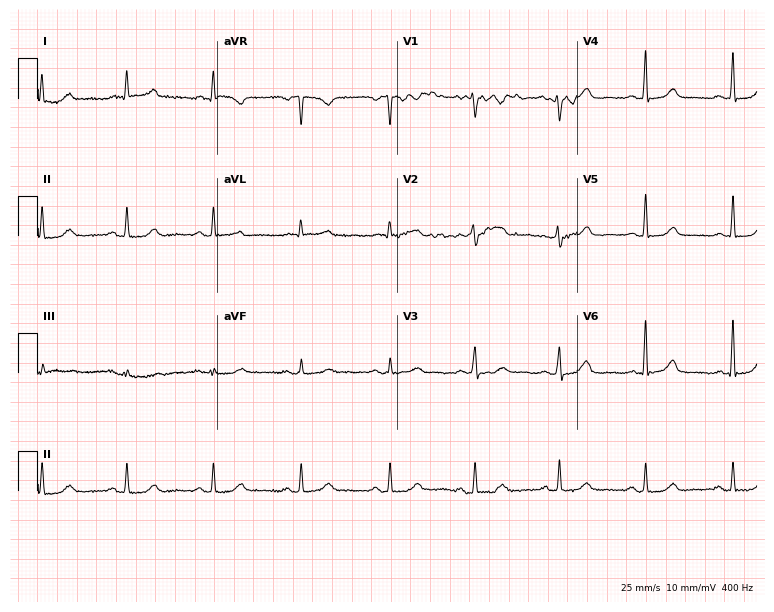
12-lead ECG from a man, 61 years old. Recorded interpretation: within normal limits.